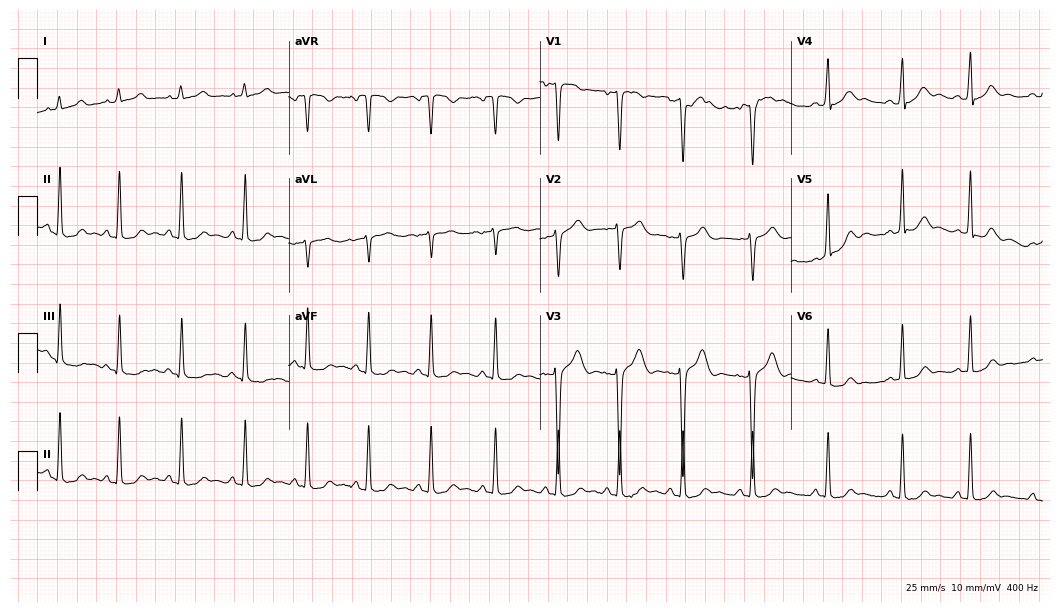
ECG — an 18-year-old woman. Labelled as a normal ECG.